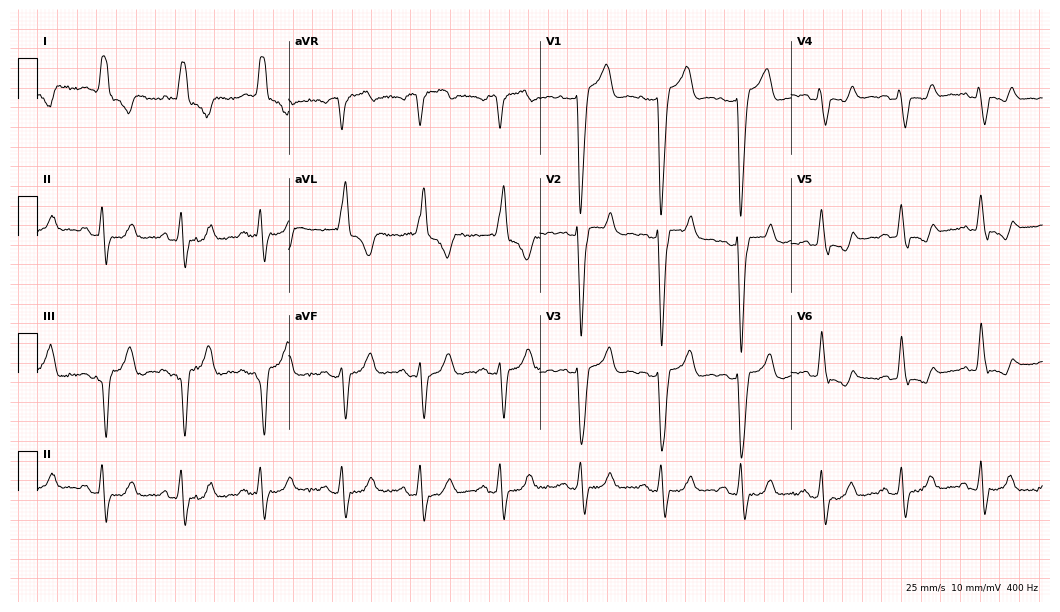
Resting 12-lead electrocardiogram (10.2-second recording at 400 Hz). Patient: a female, 82 years old. The tracing shows left bundle branch block.